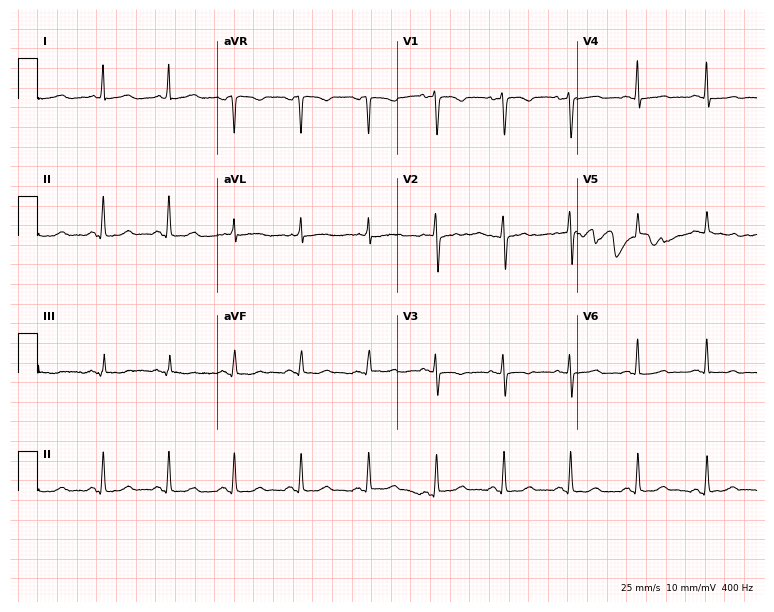
ECG (7.3-second recording at 400 Hz) — a 48-year-old woman. Screened for six findings — first-degree AV block, right bundle branch block (RBBB), left bundle branch block (LBBB), sinus bradycardia, atrial fibrillation (AF), sinus tachycardia — none is recorded. Other findings, if any, are not listed.